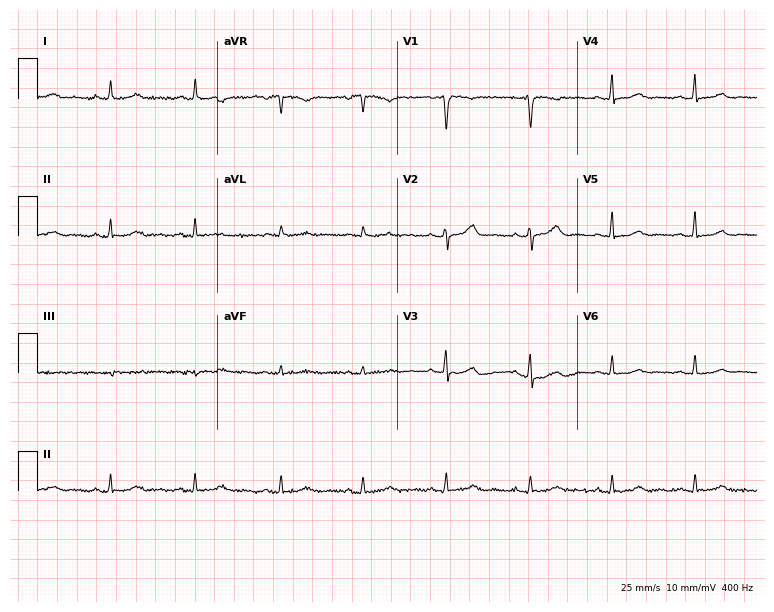
12-lead ECG from a female patient, 41 years old (7.3-second recording at 400 Hz). No first-degree AV block, right bundle branch block (RBBB), left bundle branch block (LBBB), sinus bradycardia, atrial fibrillation (AF) or sinus tachycardia recorded for this tracing. Other findings, if any, are not listed.